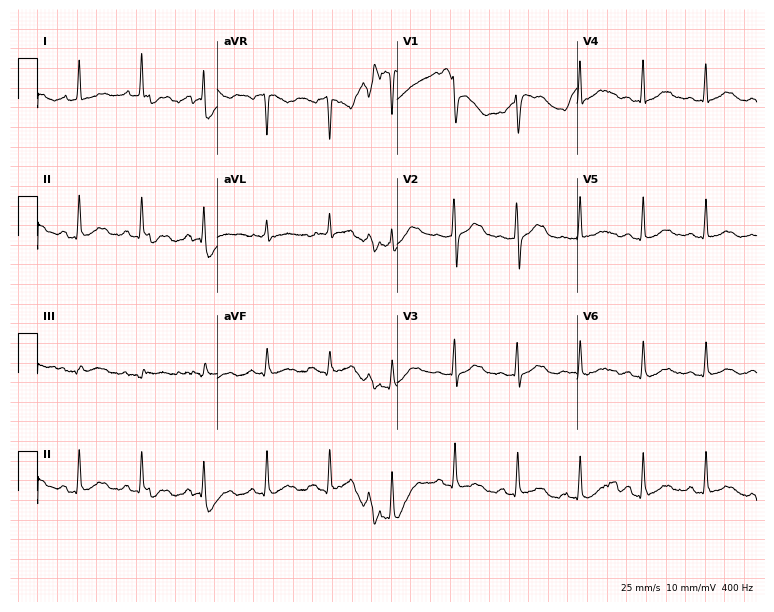
Standard 12-lead ECG recorded from a 35-year-old man (7.3-second recording at 400 Hz). None of these six findings is recorded: first-degree AV block, right bundle branch block, left bundle branch block, sinus bradycardia, atrial fibrillation, sinus tachycardia. Findings outside these six are not listed.